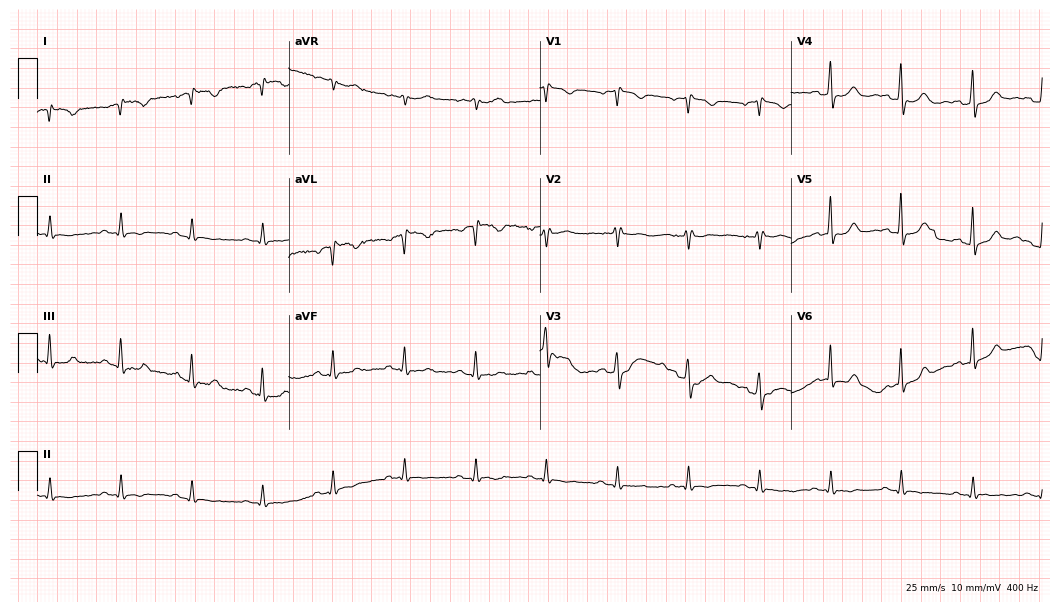
Electrocardiogram, a 50-year-old female. Of the six screened findings (first-degree AV block, right bundle branch block, left bundle branch block, sinus bradycardia, atrial fibrillation, sinus tachycardia), none is recorded.